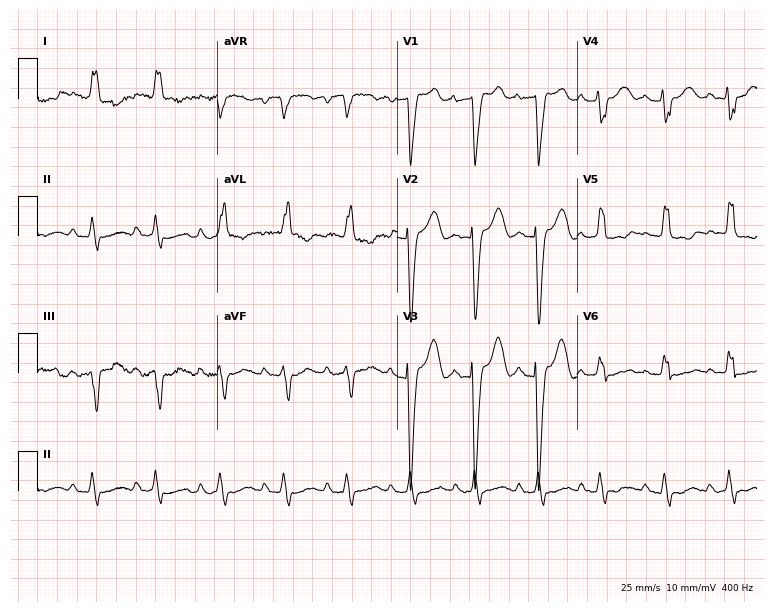
Electrocardiogram (7.3-second recording at 400 Hz), an 85-year-old female. Interpretation includes left bundle branch block (LBBB).